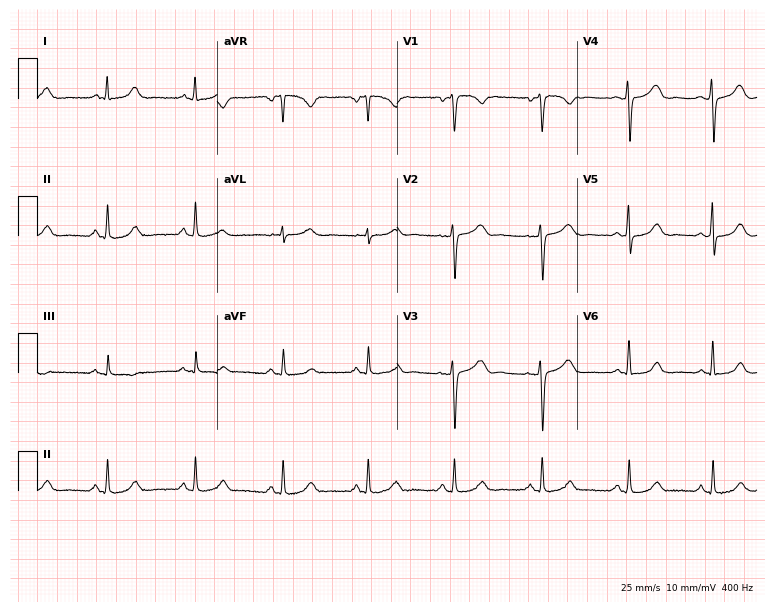
12-lead ECG from a female patient, 41 years old (7.3-second recording at 400 Hz). Recorded interpretation: within normal limits.